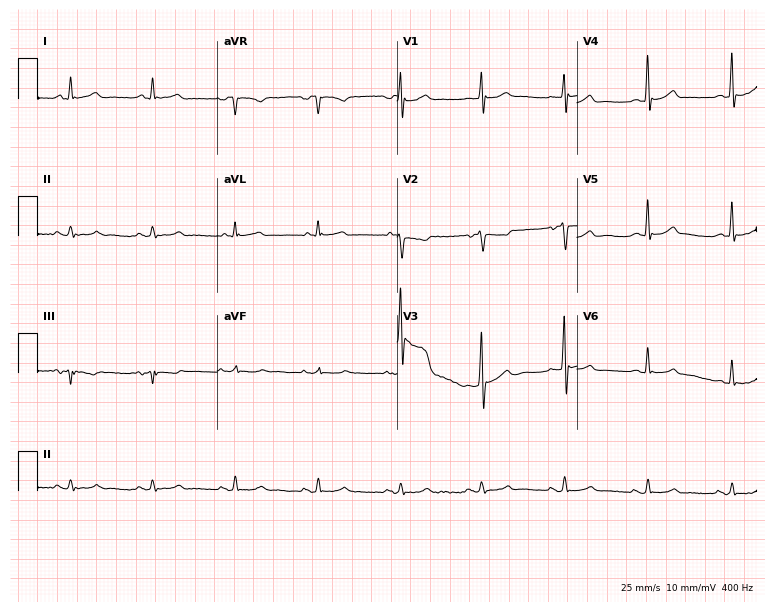
12-lead ECG from a male patient, 55 years old. Screened for six findings — first-degree AV block, right bundle branch block (RBBB), left bundle branch block (LBBB), sinus bradycardia, atrial fibrillation (AF), sinus tachycardia — none is recorded.